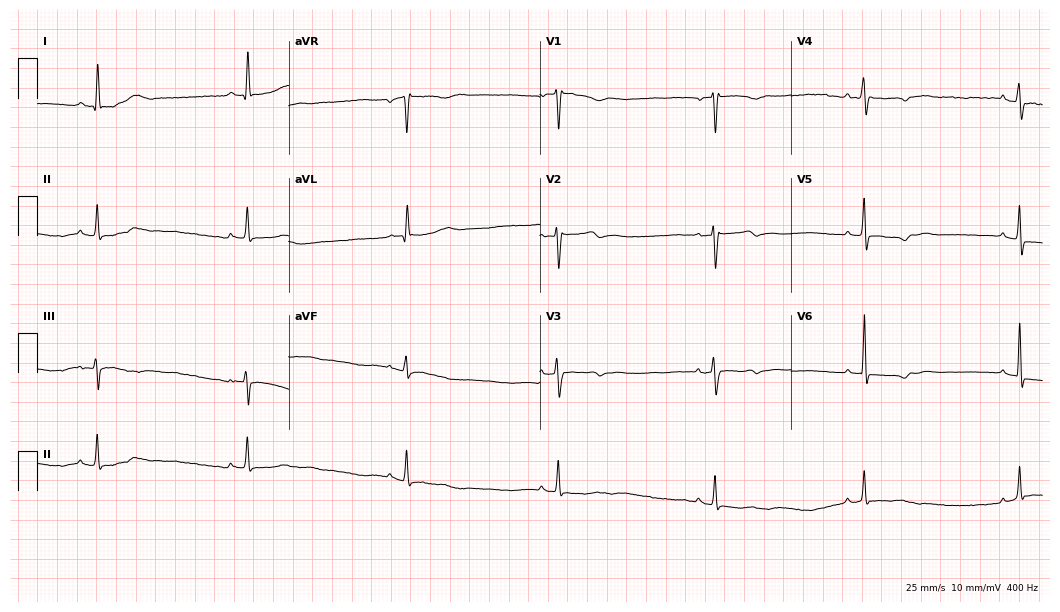
Resting 12-lead electrocardiogram. Patient: a 65-year-old female. The tracing shows sinus bradycardia (a sinus rate of 50 beats per minute or less).